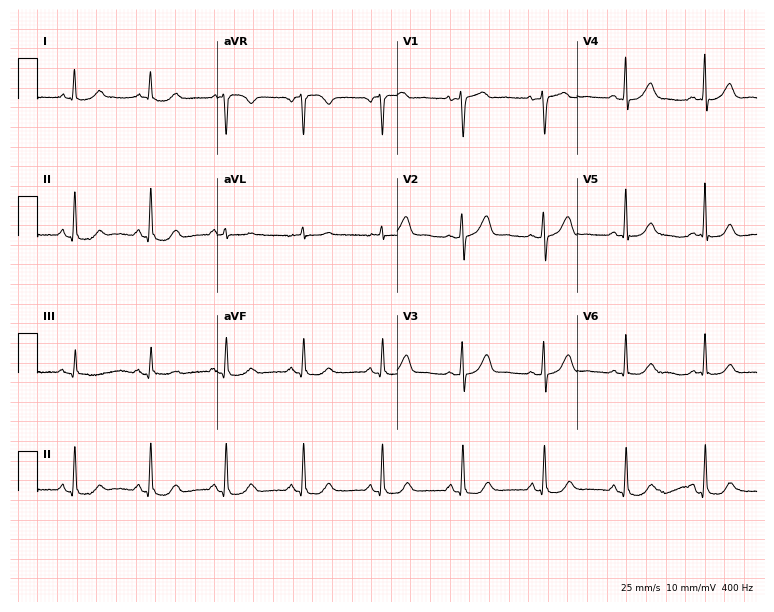
12-lead ECG from a 57-year-old female (7.3-second recording at 400 Hz). No first-degree AV block, right bundle branch block, left bundle branch block, sinus bradycardia, atrial fibrillation or sinus tachycardia recorded for this tracing. Only these six findings were labelled.